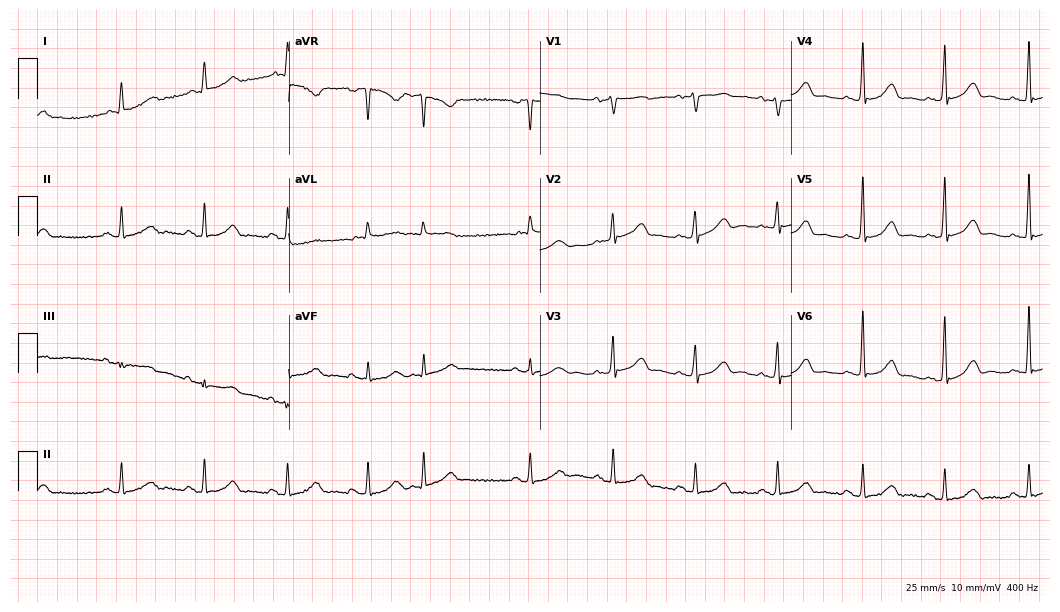
Standard 12-lead ECG recorded from a 69-year-old woman (10.2-second recording at 400 Hz). Read as a normal ECG.